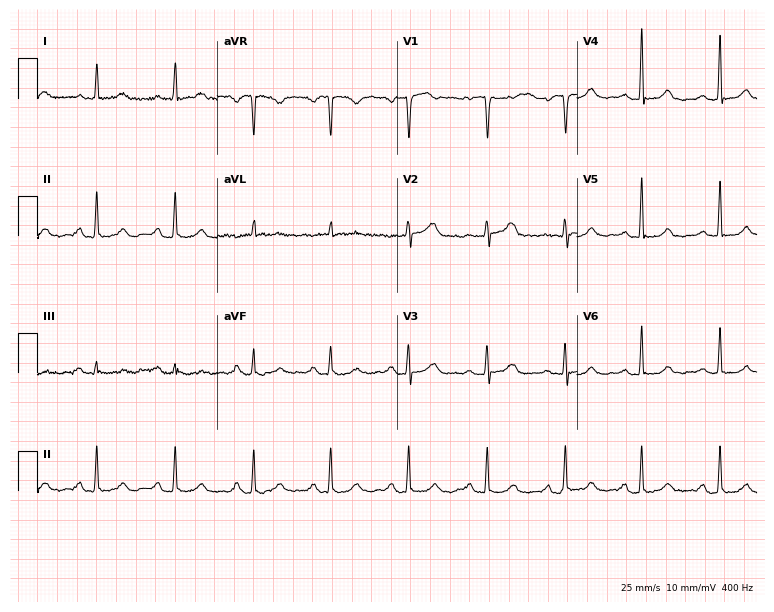
ECG — a woman, 53 years old. Labelled as a normal ECG.